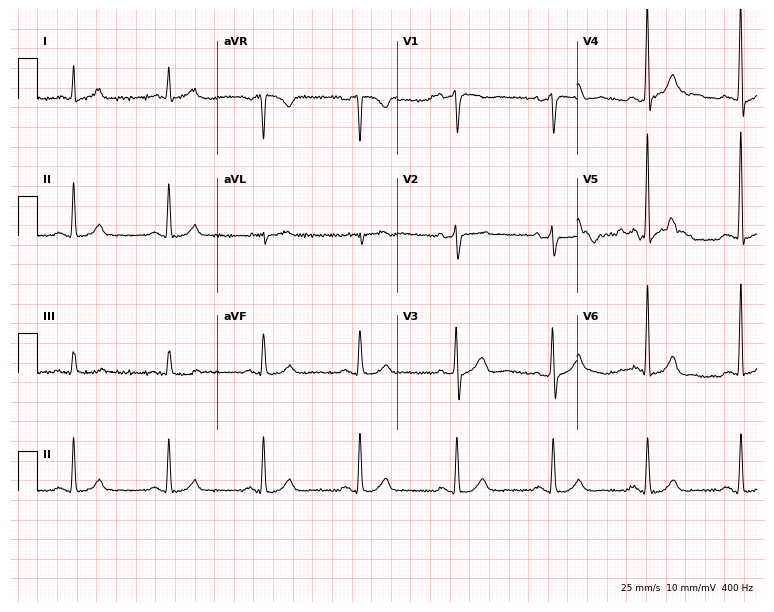
ECG — an 81-year-old woman. Screened for six findings — first-degree AV block, right bundle branch block, left bundle branch block, sinus bradycardia, atrial fibrillation, sinus tachycardia — none is recorded.